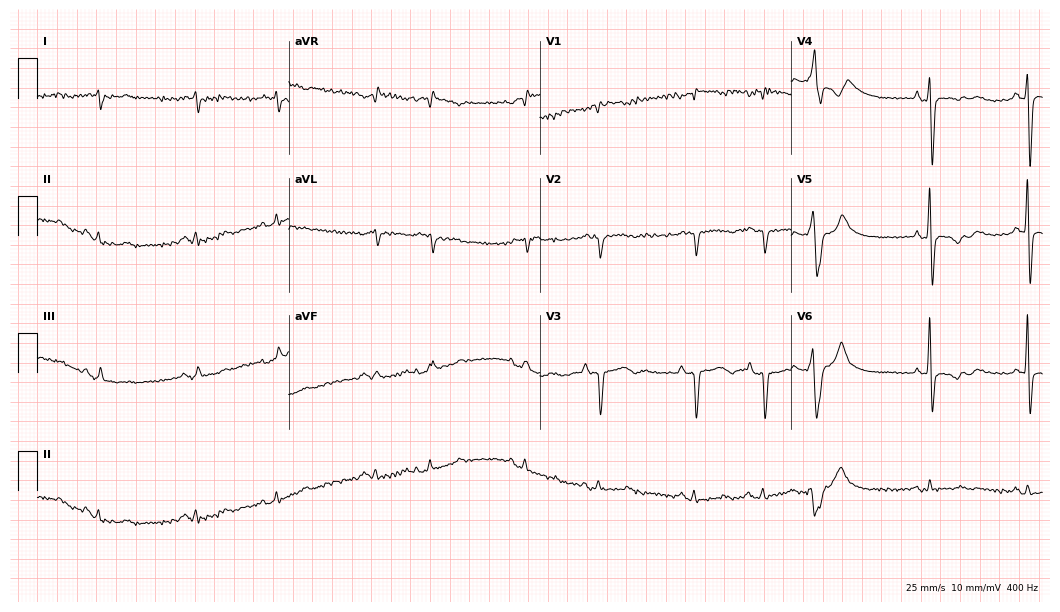
ECG — an 85-year-old man. Screened for six findings — first-degree AV block, right bundle branch block, left bundle branch block, sinus bradycardia, atrial fibrillation, sinus tachycardia — none is recorded. Findings outside these six are not listed.